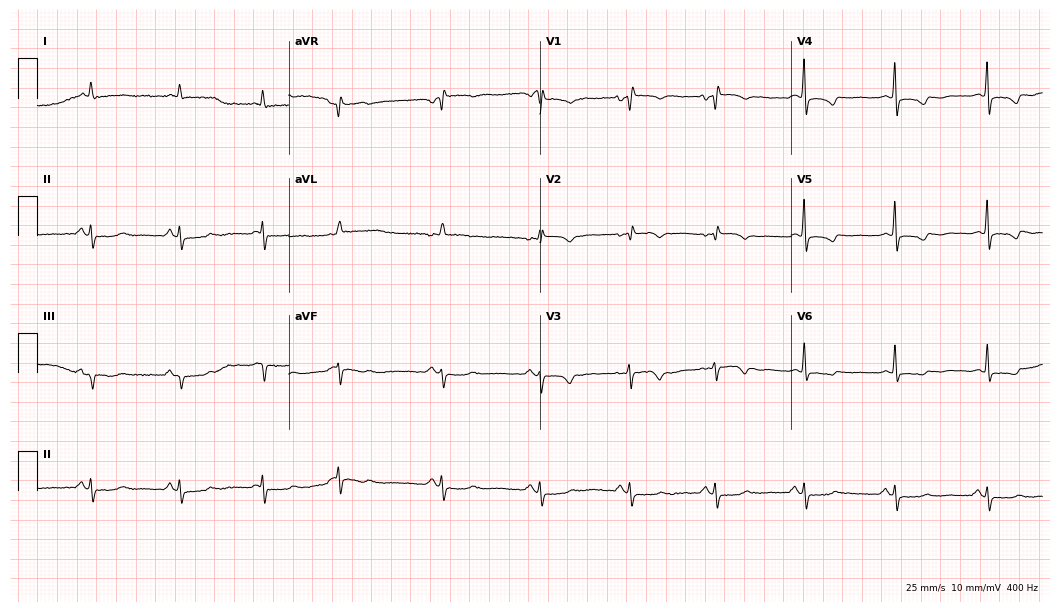
12-lead ECG from a 60-year-old woman. No first-degree AV block, right bundle branch block, left bundle branch block, sinus bradycardia, atrial fibrillation or sinus tachycardia recorded for this tracing.